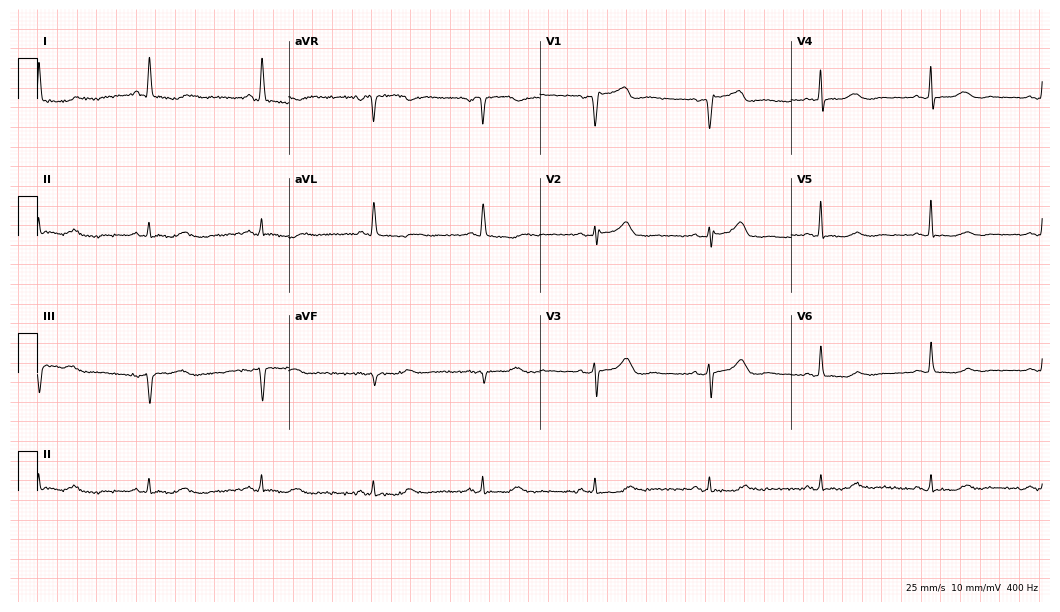
ECG (10.2-second recording at 400 Hz) — a female patient, 74 years old. Screened for six findings — first-degree AV block, right bundle branch block, left bundle branch block, sinus bradycardia, atrial fibrillation, sinus tachycardia — none is recorded. Only these six findings were labelled.